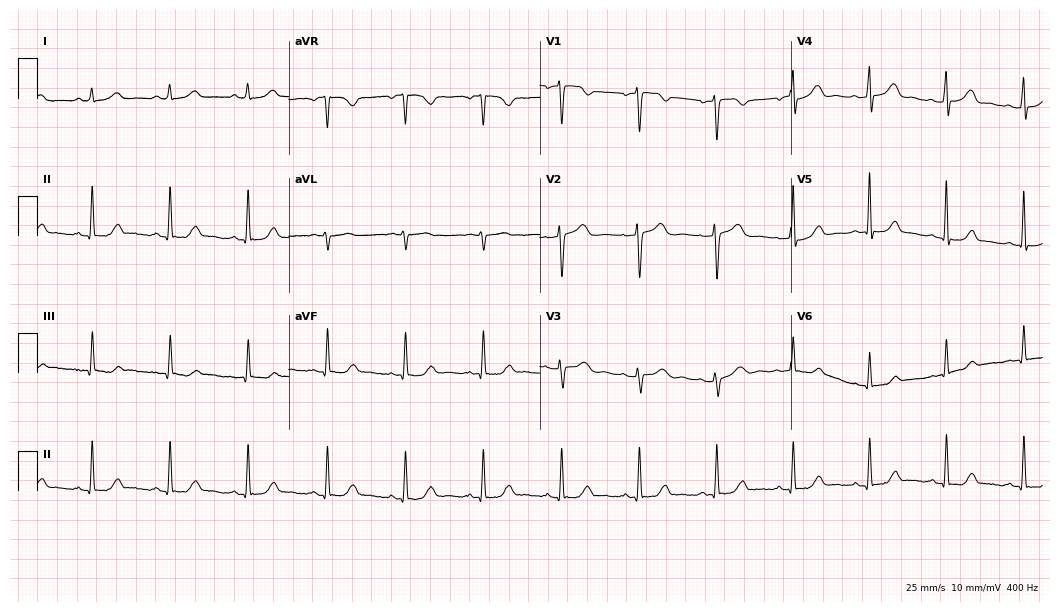
12-lead ECG from a woman, 56 years old (10.2-second recording at 400 Hz). Recorded interpretation: within normal limits.